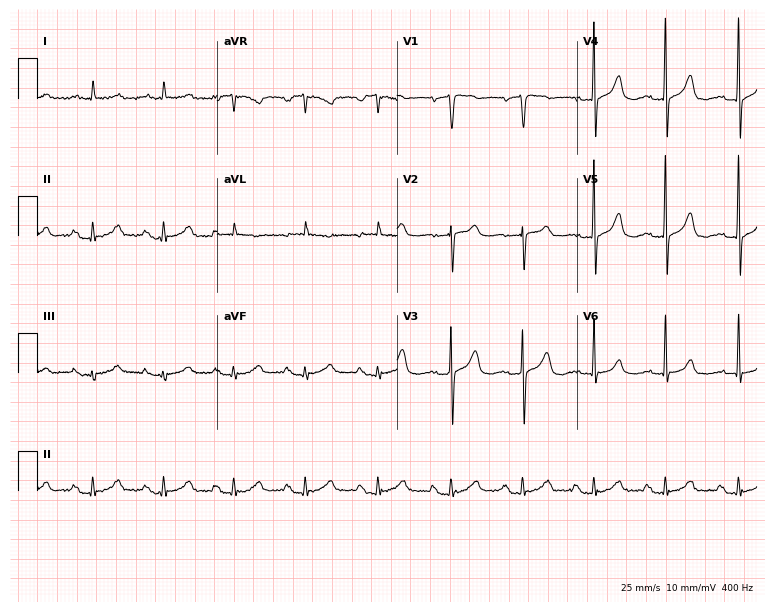
12-lead ECG from a 53-year-old male patient. No first-degree AV block, right bundle branch block, left bundle branch block, sinus bradycardia, atrial fibrillation or sinus tachycardia recorded for this tracing. Findings outside these six are not listed.